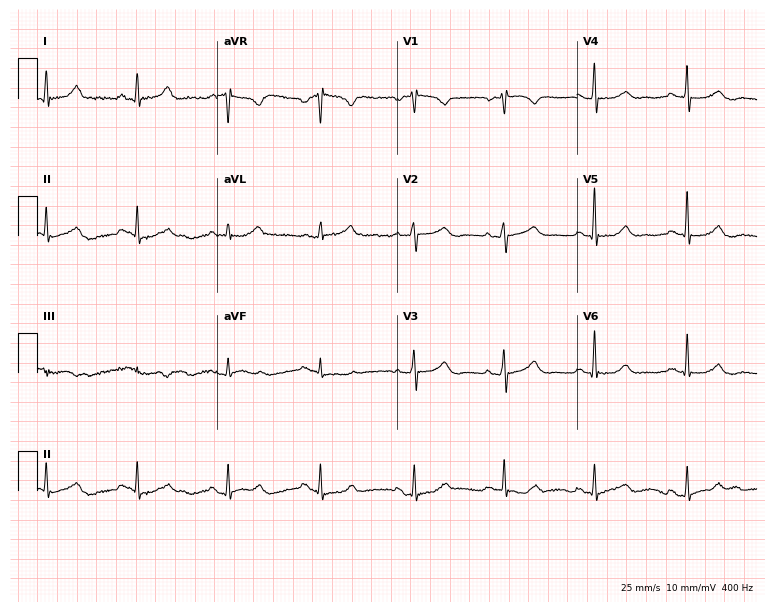
Resting 12-lead electrocardiogram (7.3-second recording at 400 Hz). Patient: a 67-year-old female. Read as a normal ECG.